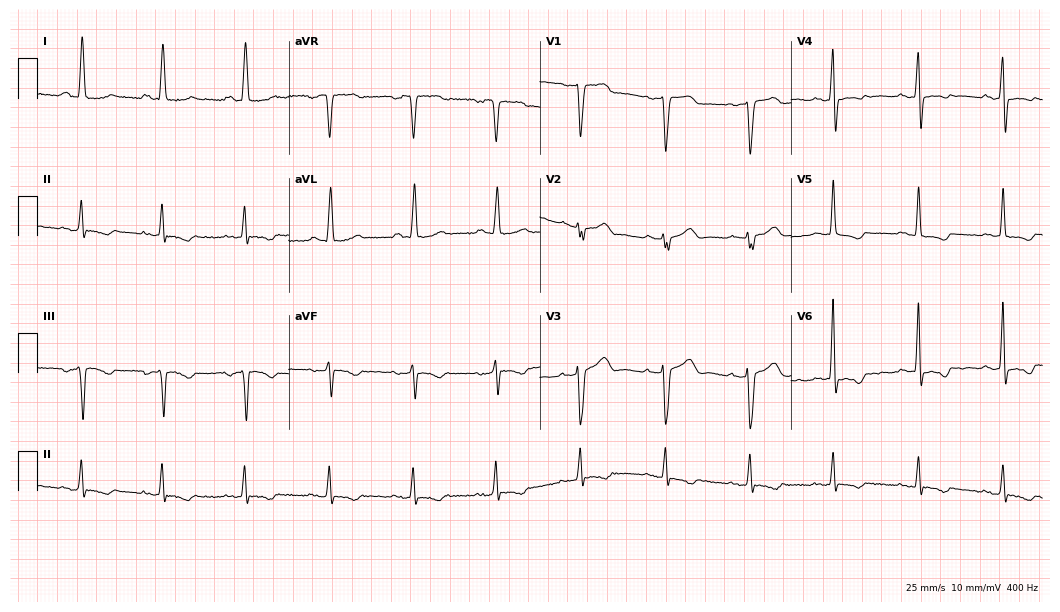
12-lead ECG from a female patient, 84 years old. Screened for six findings — first-degree AV block, right bundle branch block, left bundle branch block, sinus bradycardia, atrial fibrillation, sinus tachycardia — none is recorded. Other findings, if any, are not listed.